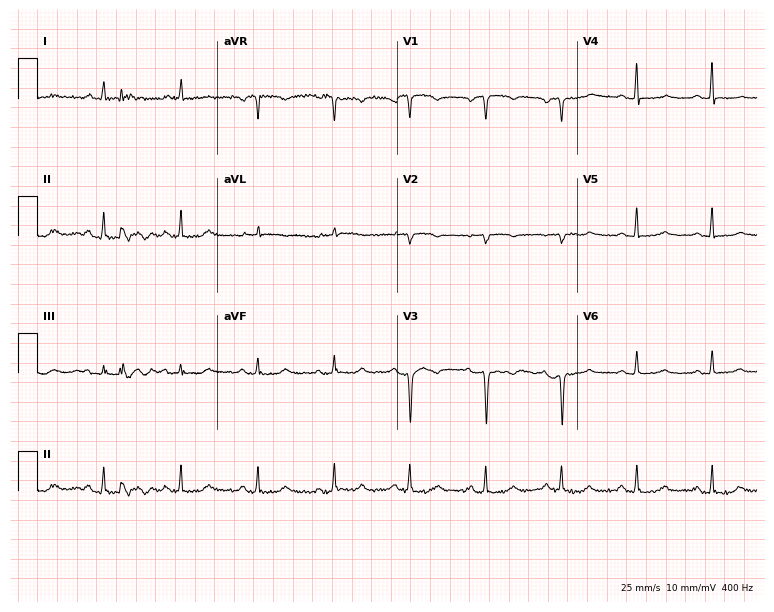
12-lead ECG (7.3-second recording at 400 Hz) from a 68-year-old female. Screened for six findings — first-degree AV block, right bundle branch block, left bundle branch block, sinus bradycardia, atrial fibrillation, sinus tachycardia — none is recorded.